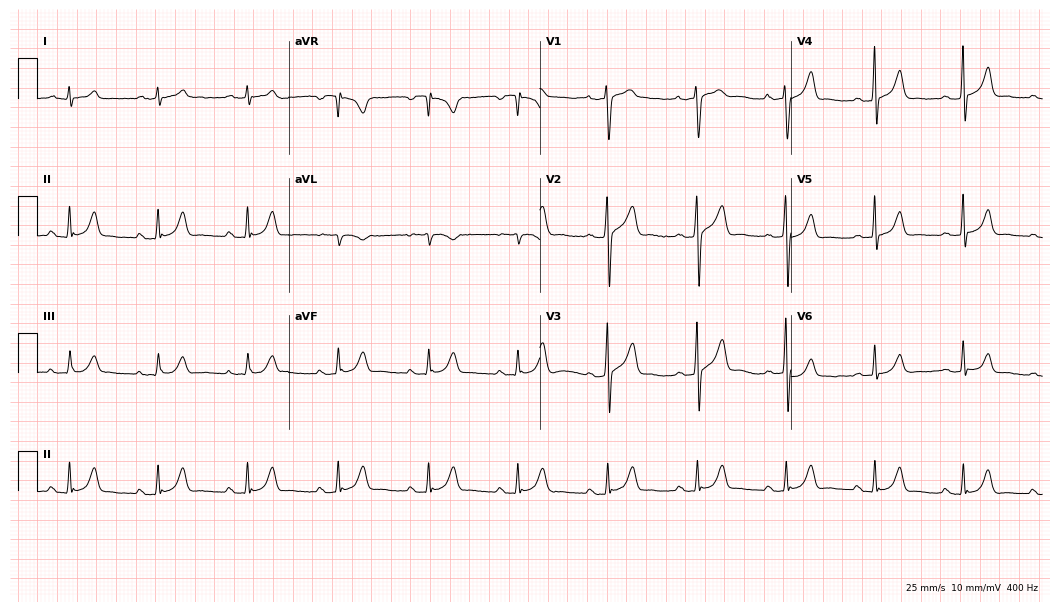
Electrocardiogram, a 59-year-old man. Overall reading on record: normal ECG.